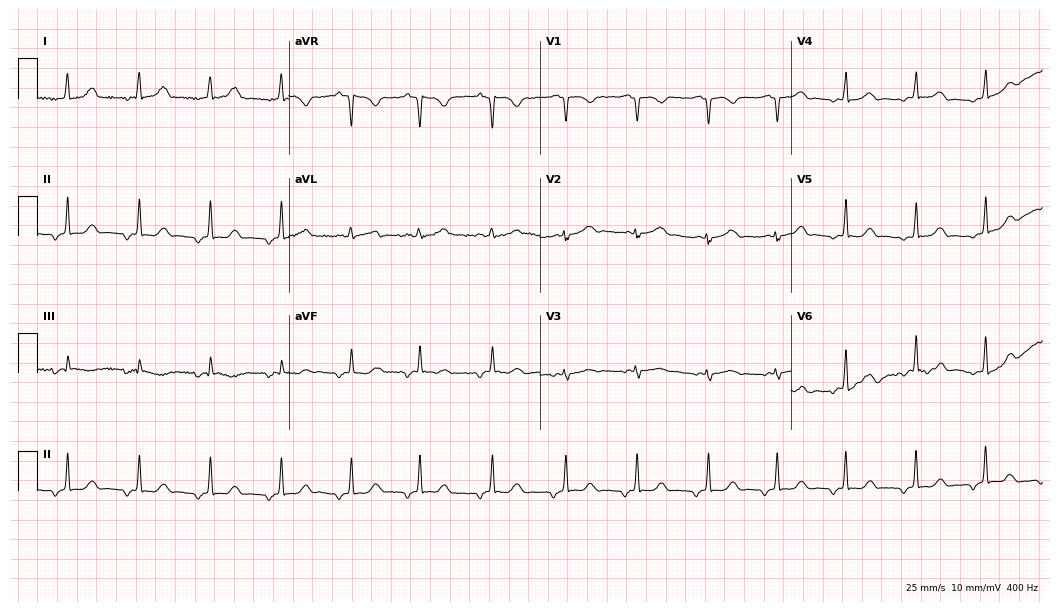
Electrocardiogram (10.2-second recording at 400 Hz), a 22-year-old female. Of the six screened findings (first-degree AV block, right bundle branch block, left bundle branch block, sinus bradycardia, atrial fibrillation, sinus tachycardia), none is recorded. Only these six findings were labelled.